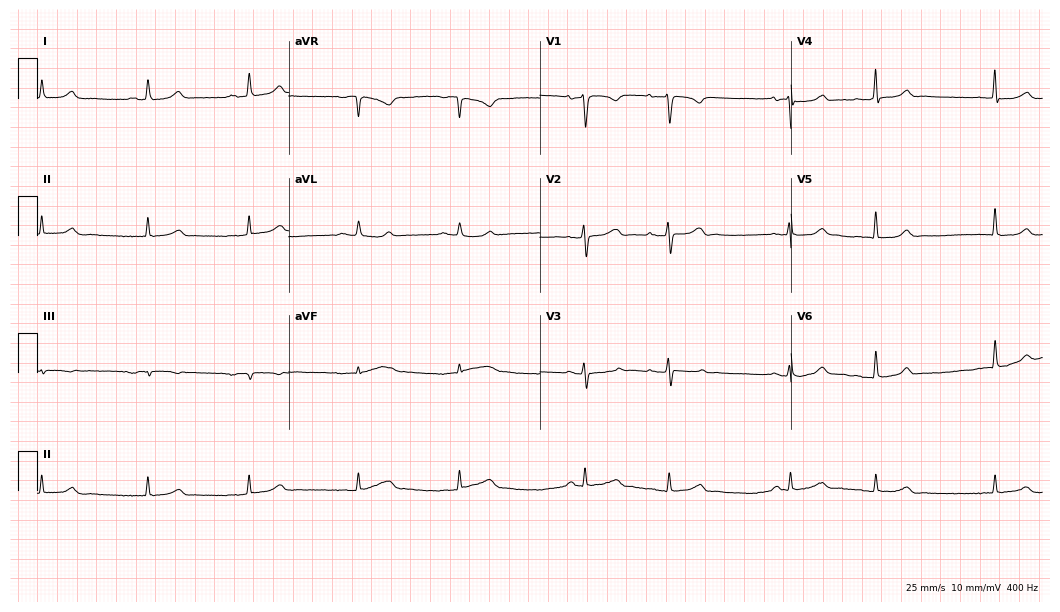
Standard 12-lead ECG recorded from a 45-year-old female patient (10.2-second recording at 400 Hz). None of these six findings is recorded: first-degree AV block, right bundle branch block, left bundle branch block, sinus bradycardia, atrial fibrillation, sinus tachycardia. Other findings, if any, are not listed.